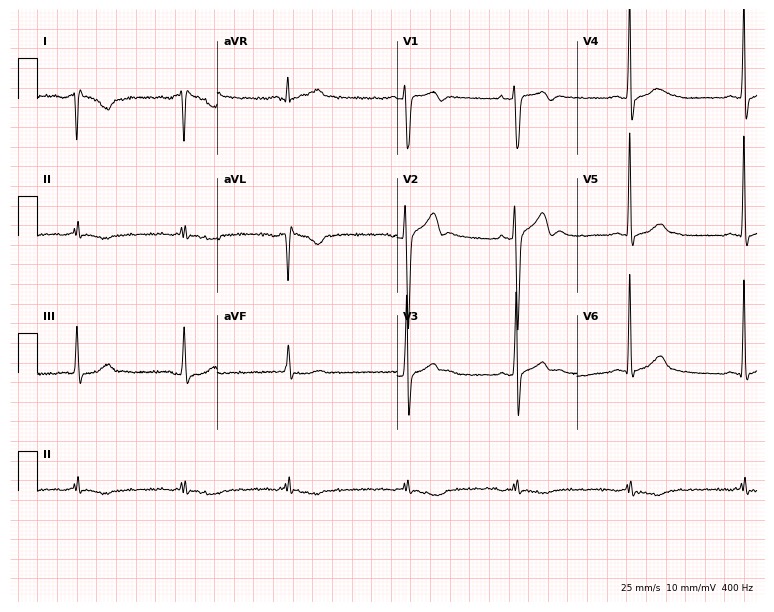
Standard 12-lead ECG recorded from a 24-year-old man. None of these six findings is recorded: first-degree AV block, right bundle branch block, left bundle branch block, sinus bradycardia, atrial fibrillation, sinus tachycardia. Only these six findings were labelled.